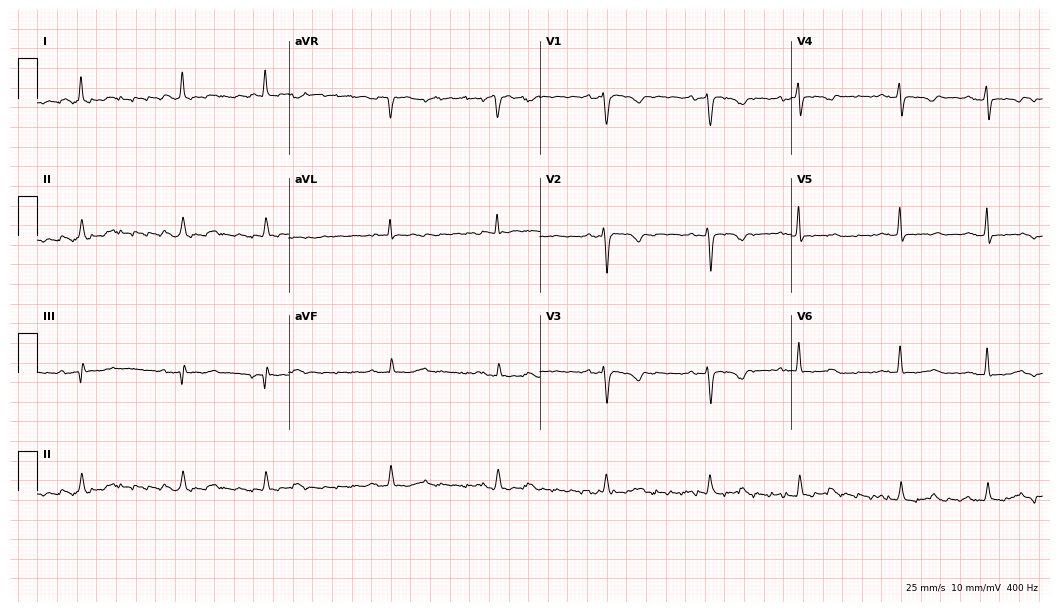
12-lead ECG (10.2-second recording at 400 Hz) from a female patient, 81 years old. Screened for six findings — first-degree AV block, right bundle branch block (RBBB), left bundle branch block (LBBB), sinus bradycardia, atrial fibrillation (AF), sinus tachycardia — none is recorded. Only these six findings were labelled.